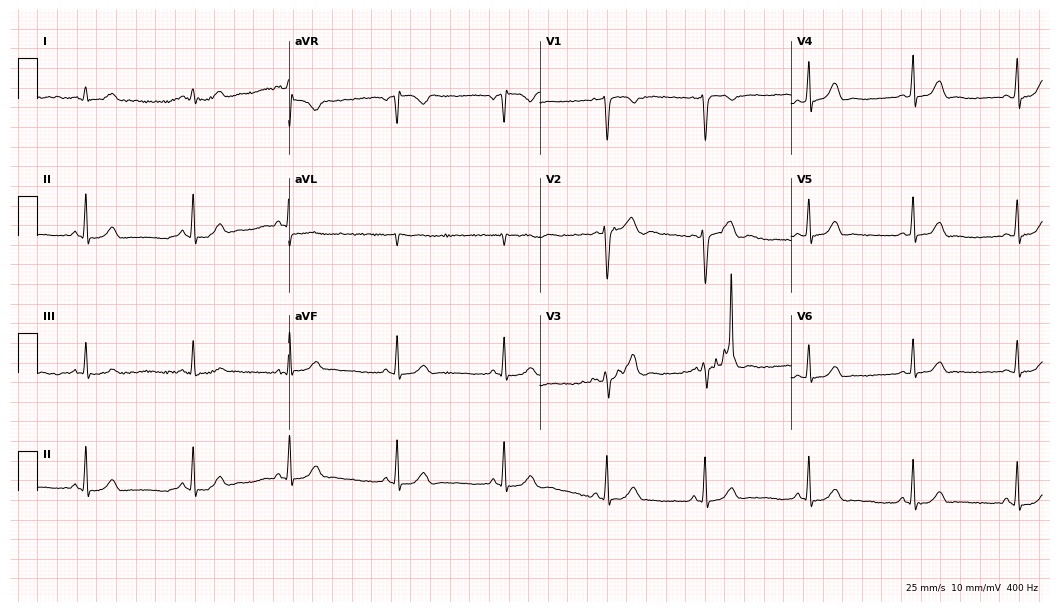
ECG — a 28-year-old female patient. Screened for six findings — first-degree AV block, right bundle branch block, left bundle branch block, sinus bradycardia, atrial fibrillation, sinus tachycardia — none is recorded. Findings outside these six are not listed.